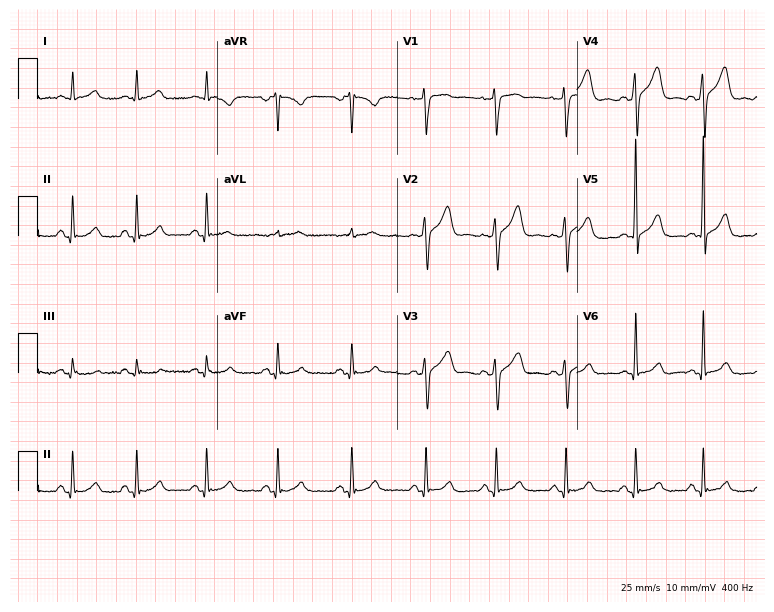
Standard 12-lead ECG recorded from a male patient, 43 years old. Read as a normal ECG.